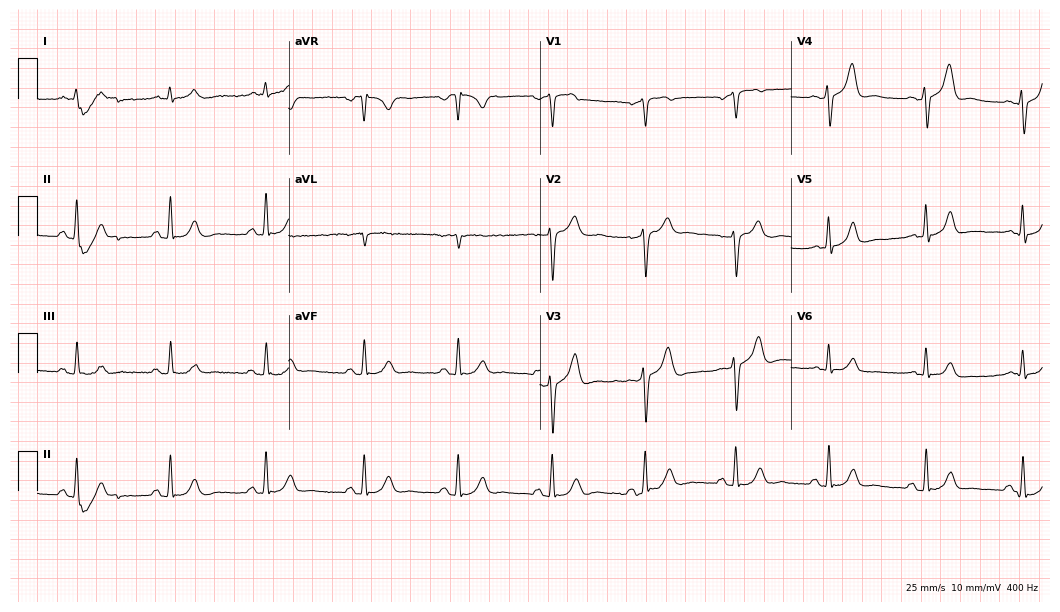
12-lead ECG (10.2-second recording at 400 Hz) from a 57-year-old male patient. Screened for six findings — first-degree AV block, right bundle branch block (RBBB), left bundle branch block (LBBB), sinus bradycardia, atrial fibrillation (AF), sinus tachycardia — none is recorded. Findings outside these six are not listed.